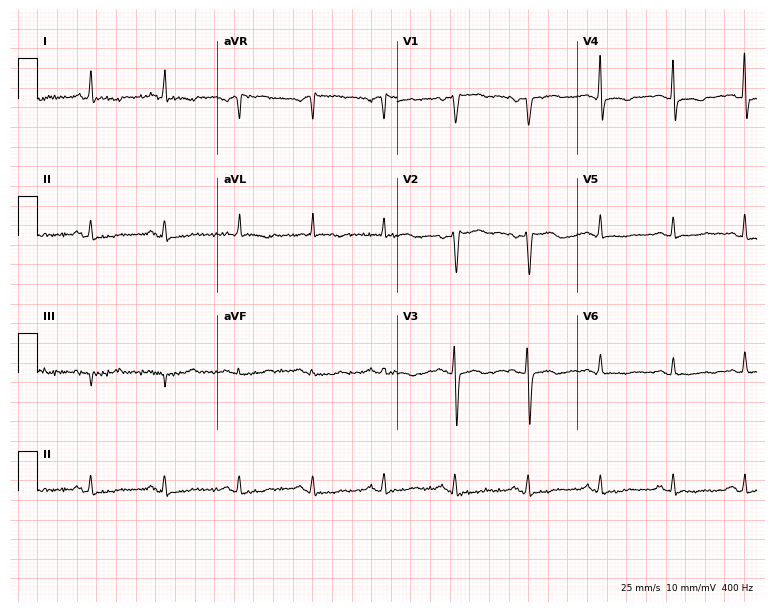
12-lead ECG from a 65-year-old woman (7.3-second recording at 400 Hz). No first-degree AV block, right bundle branch block (RBBB), left bundle branch block (LBBB), sinus bradycardia, atrial fibrillation (AF) or sinus tachycardia recorded for this tracing. Other findings, if any, are not listed.